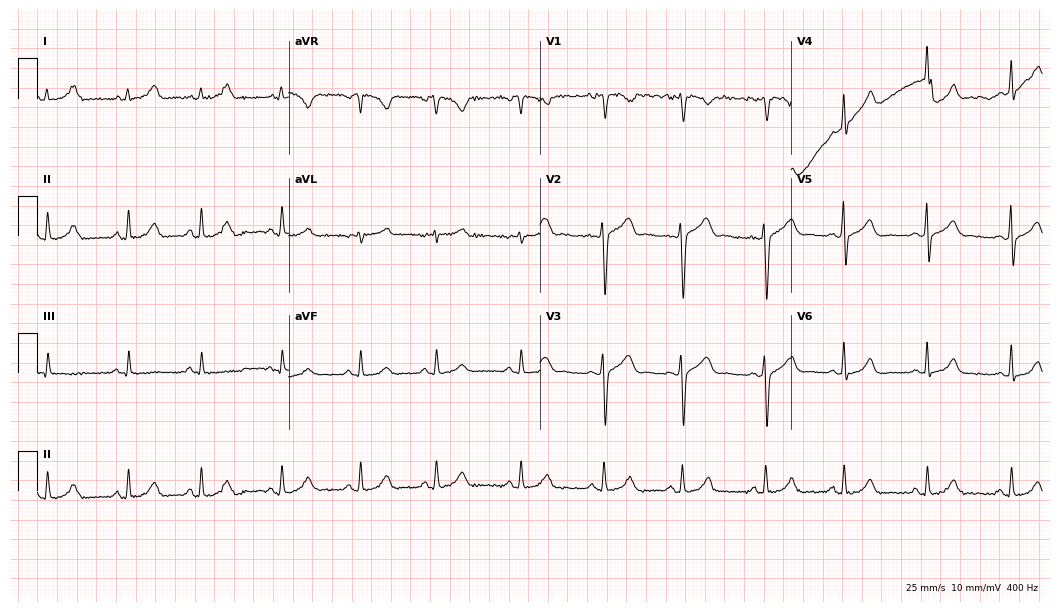
Resting 12-lead electrocardiogram. Patient: a 36-year-old female. Read as a normal ECG.